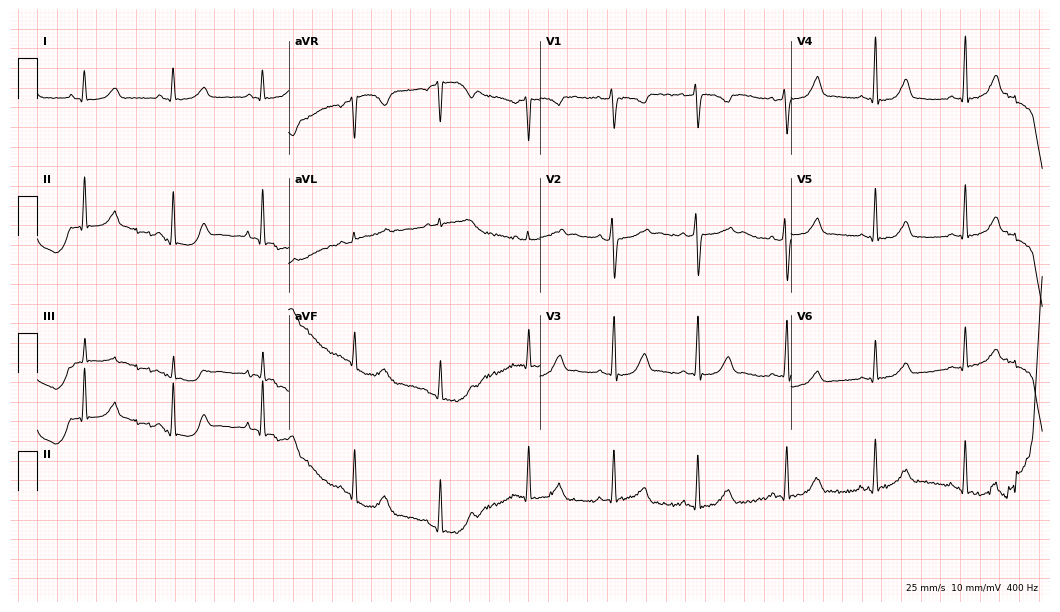
Electrocardiogram, a 26-year-old female patient. Overall reading on record: normal ECG.